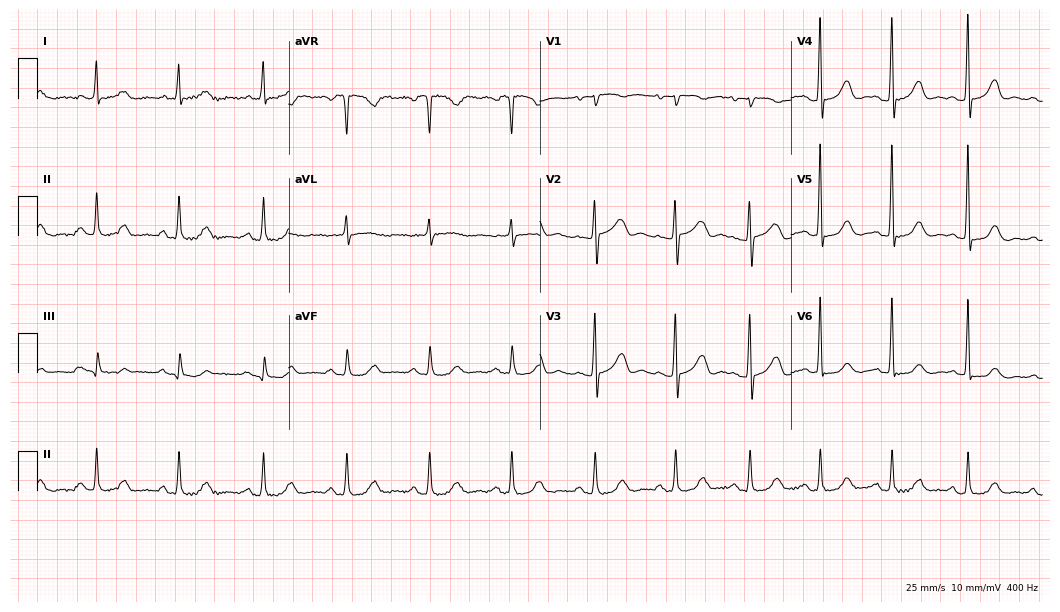
12-lead ECG (10.2-second recording at 400 Hz) from a female patient, 72 years old. Screened for six findings — first-degree AV block, right bundle branch block, left bundle branch block, sinus bradycardia, atrial fibrillation, sinus tachycardia — none is recorded.